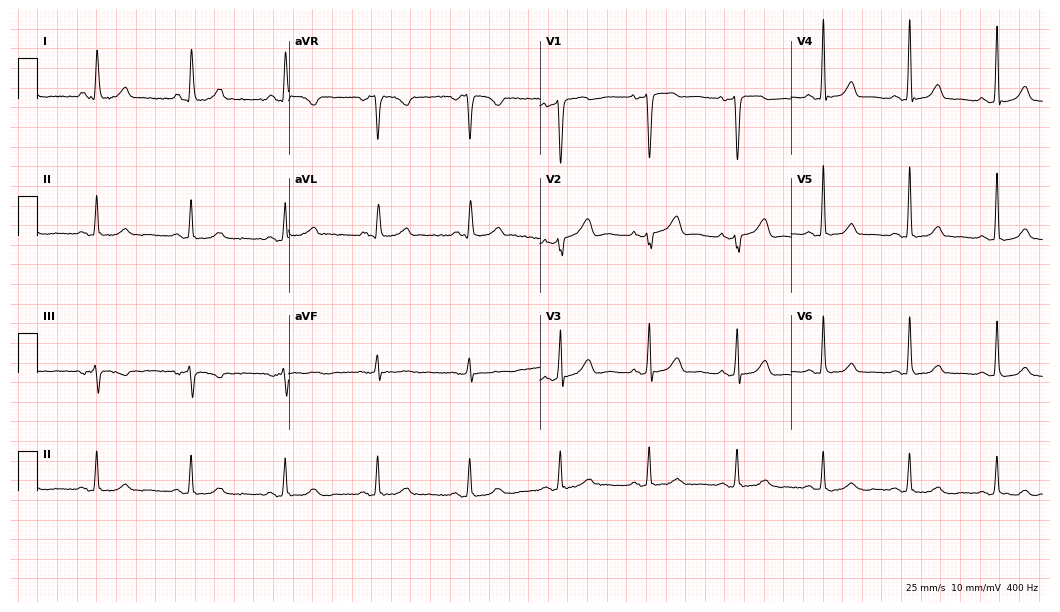
ECG — a woman, 54 years old. Screened for six findings — first-degree AV block, right bundle branch block, left bundle branch block, sinus bradycardia, atrial fibrillation, sinus tachycardia — none is recorded.